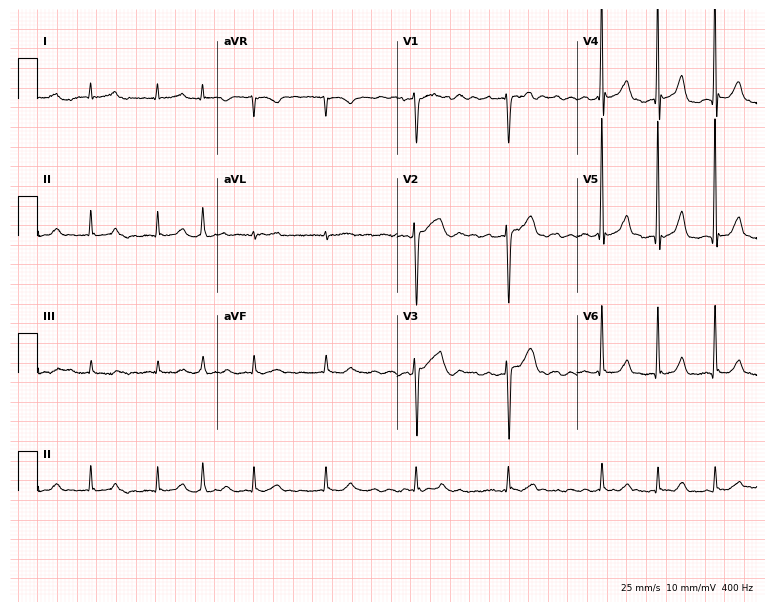
12-lead ECG from a 65-year-old male. Shows atrial fibrillation (AF).